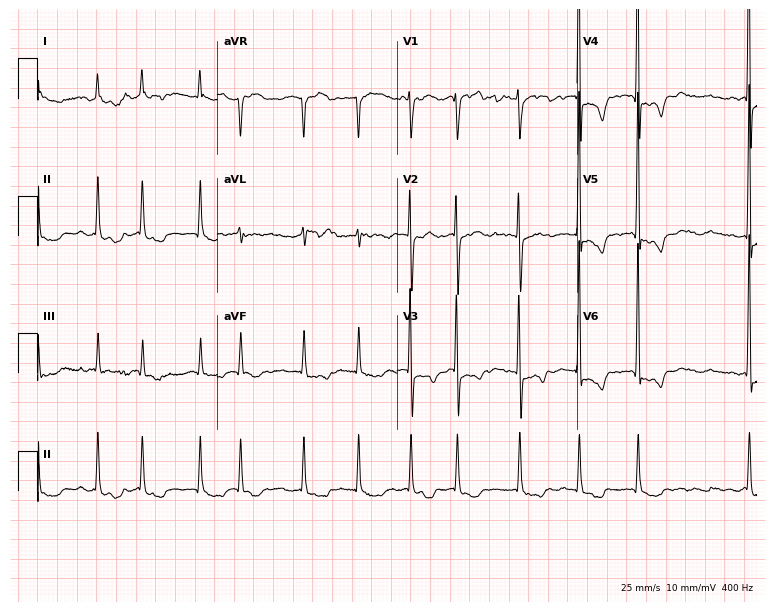
Resting 12-lead electrocardiogram. Patient: a female, 73 years old. The tracing shows atrial fibrillation (AF).